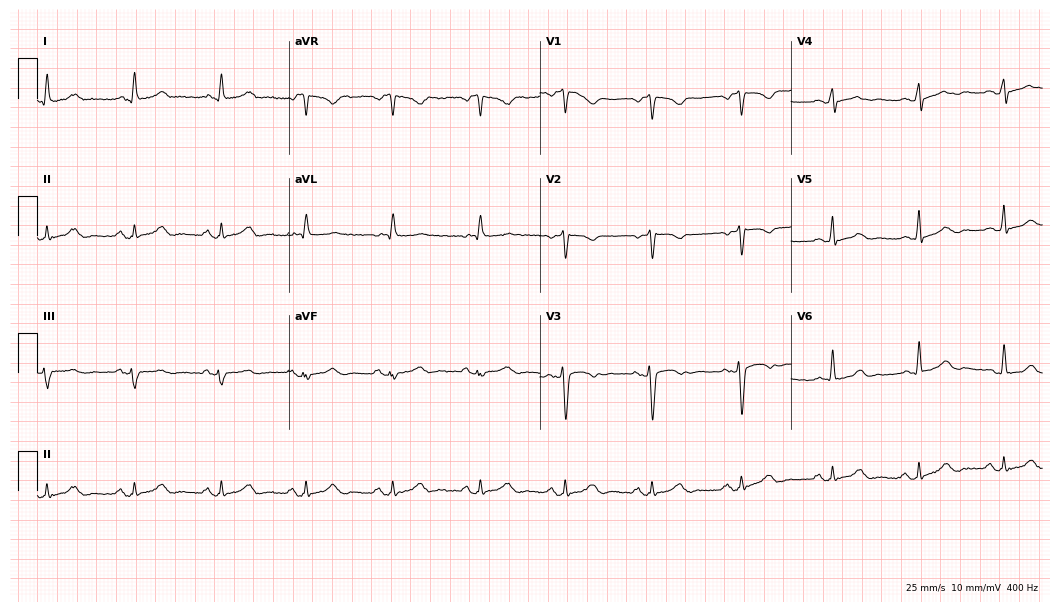
Electrocardiogram (10.2-second recording at 400 Hz), a female, 44 years old. Overall reading on record: normal ECG.